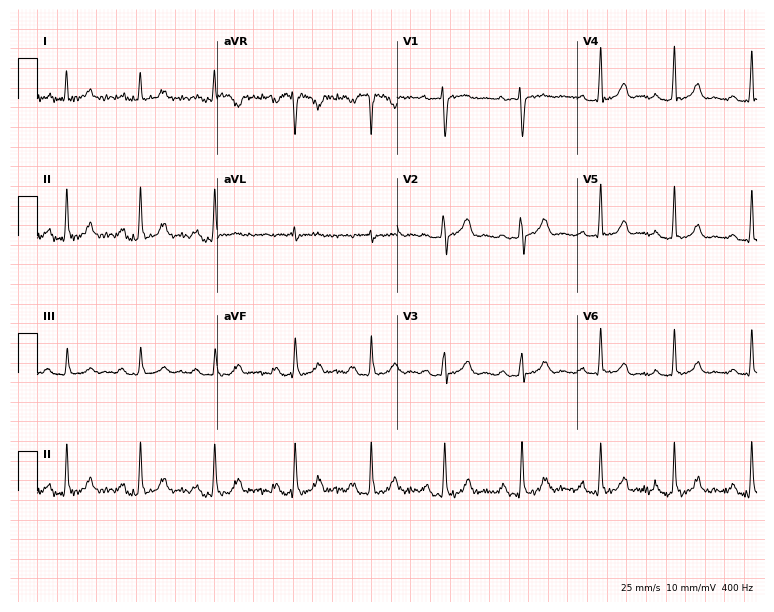
ECG — a female, 30 years old. Labelled as a normal ECG.